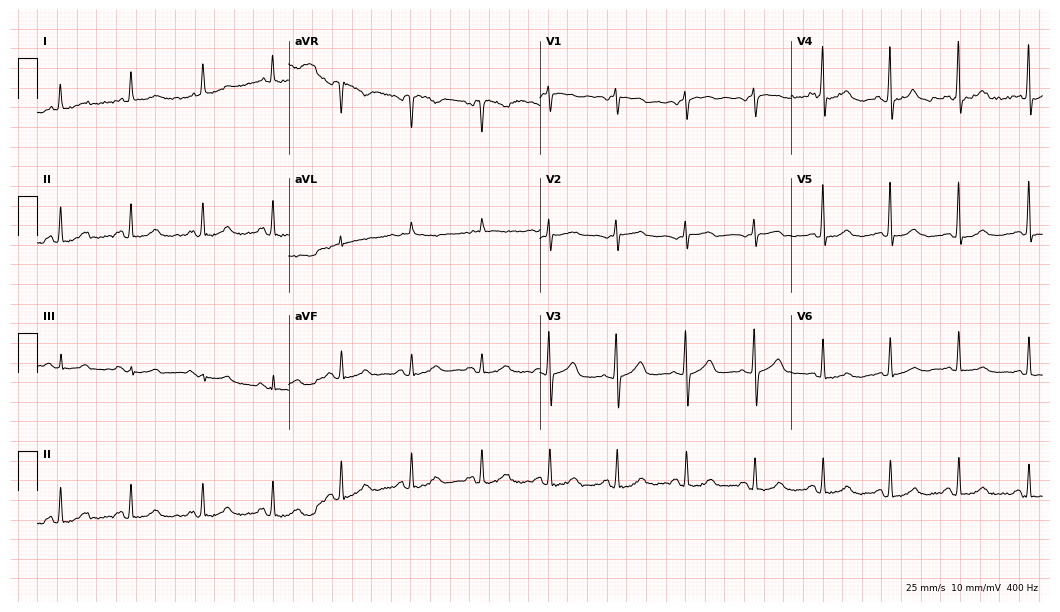
12-lead ECG from a woman, 79 years old. No first-degree AV block, right bundle branch block (RBBB), left bundle branch block (LBBB), sinus bradycardia, atrial fibrillation (AF) or sinus tachycardia recorded for this tracing.